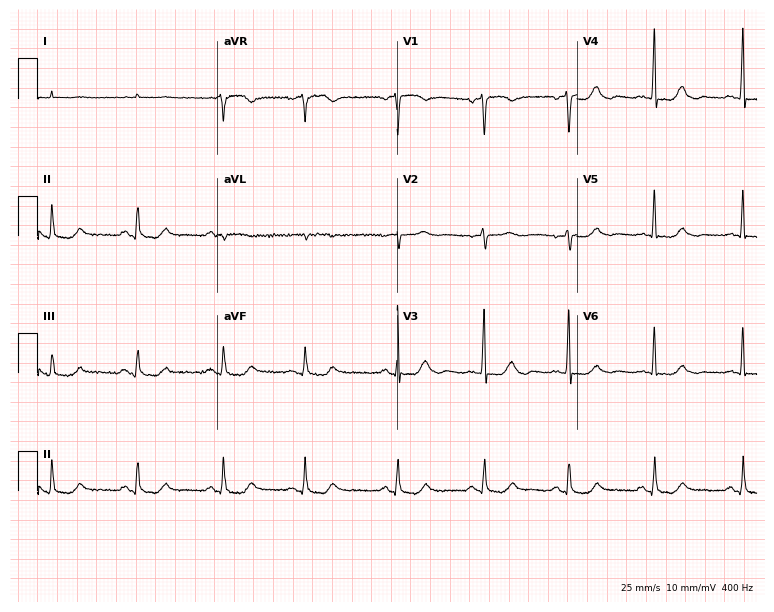
Electrocardiogram (7.3-second recording at 400 Hz), an 85-year-old male patient. Of the six screened findings (first-degree AV block, right bundle branch block, left bundle branch block, sinus bradycardia, atrial fibrillation, sinus tachycardia), none is recorded. Findings outside these six are not listed.